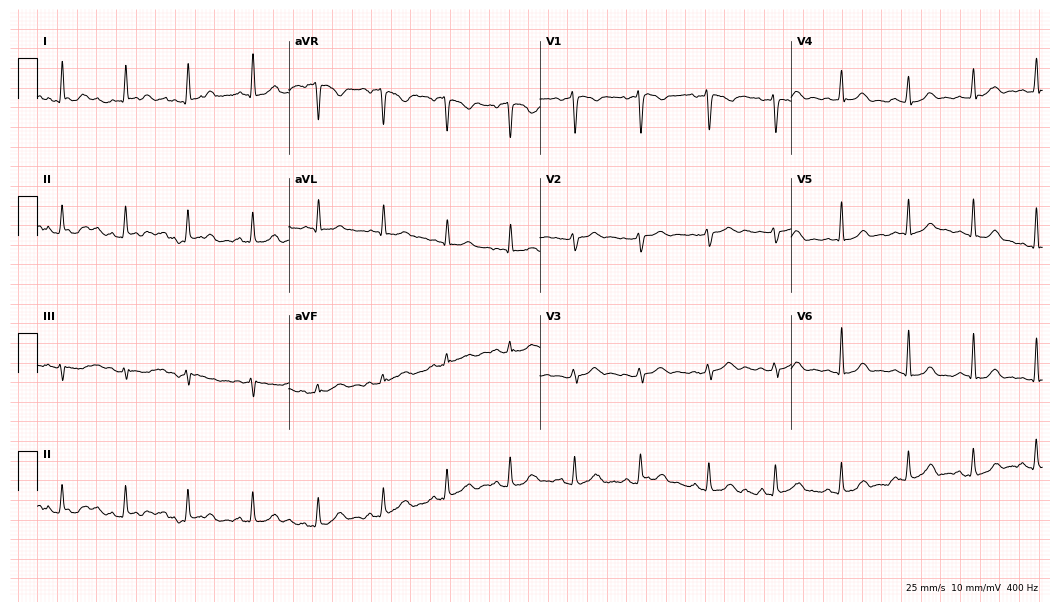
ECG (10.2-second recording at 400 Hz) — a 26-year-old female patient. Labelled as a normal ECG.